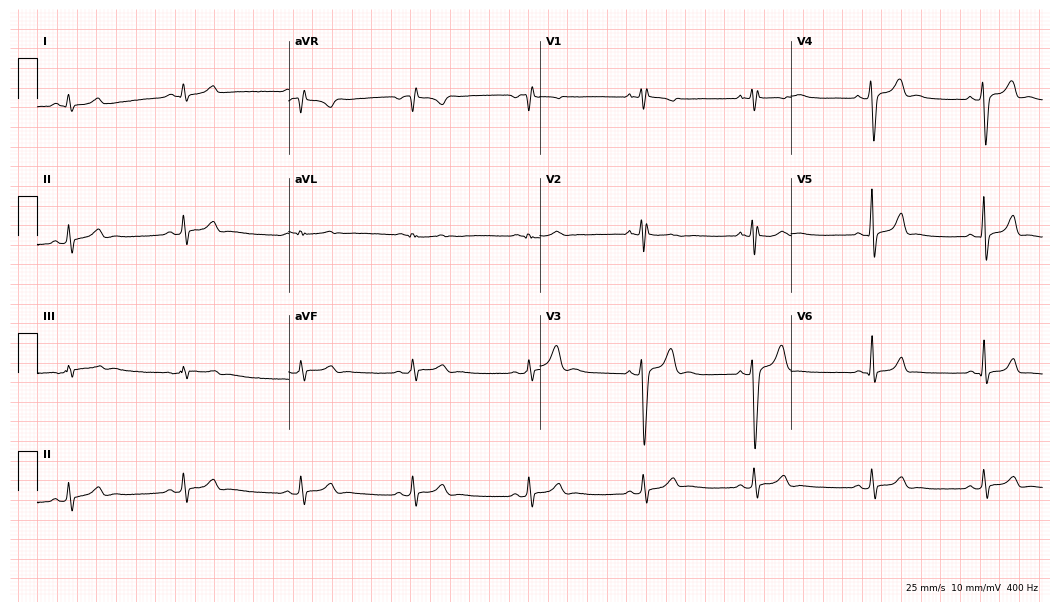
12-lead ECG from a male patient, 17 years old. No first-degree AV block, right bundle branch block, left bundle branch block, sinus bradycardia, atrial fibrillation or sinus tachycardia recorded for this tracing. Other findings, if any, are not listed.